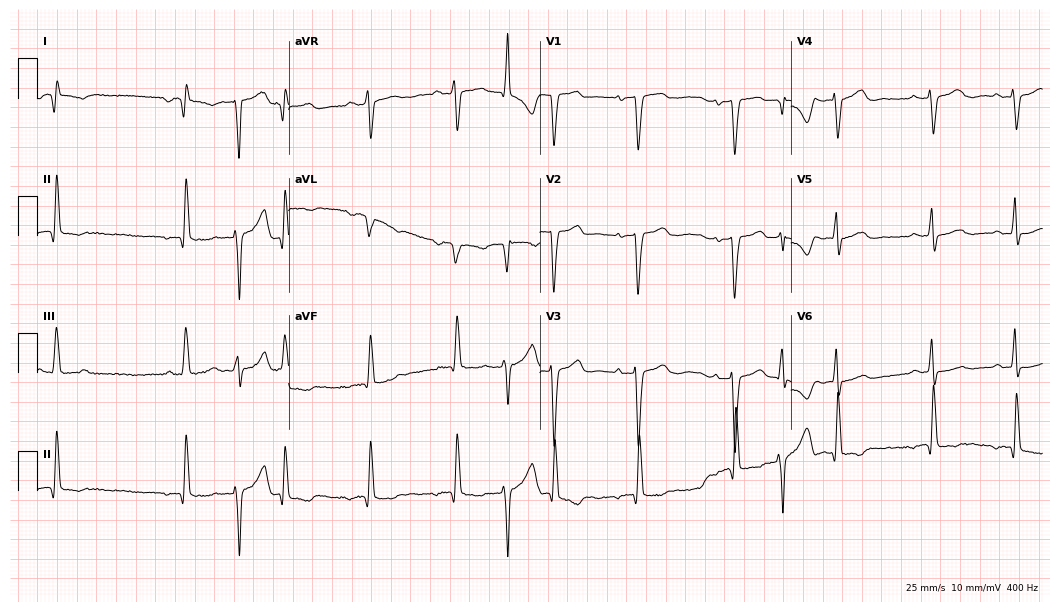
Electrocardiogram, a 65-year-old female. Of the six screened findings (first-degree AV block, right bundle branch block, left bundle branch block, sinus bradycardia, atrial fibrillation, sinus tachycardia), none is recorded.